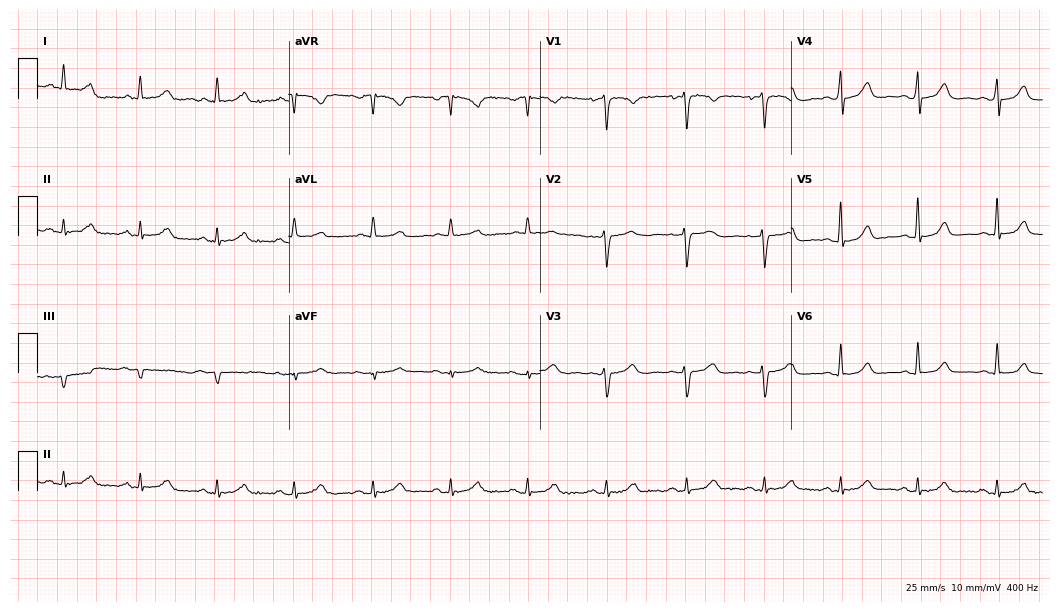
Resting 12-lead electrocardiogram. Patient: a 61-year-old female. Read as a normal ECG.